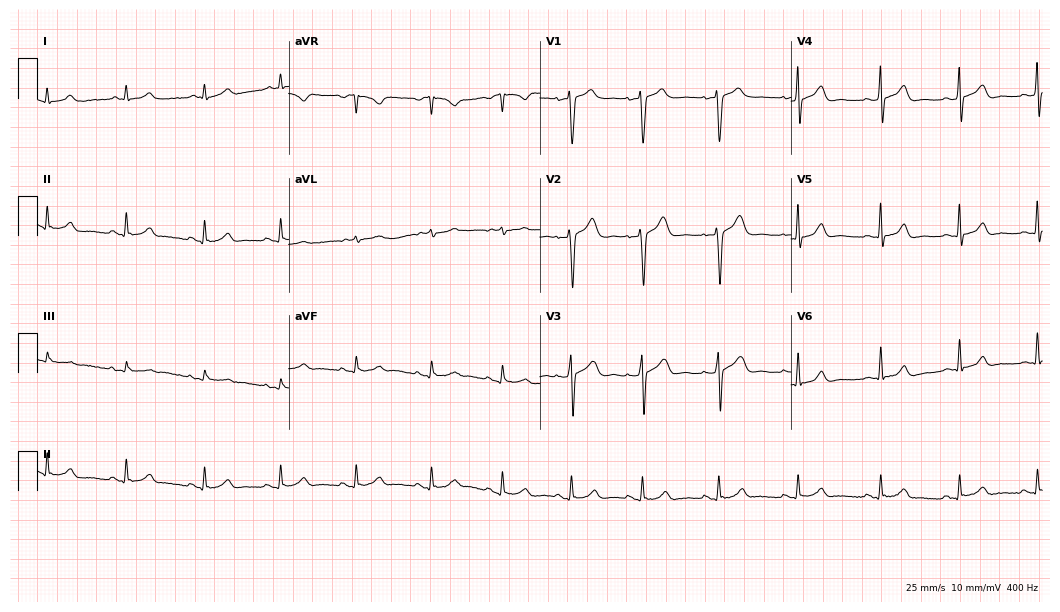
Electrocardiogram (10.2-second recording at 400 Hz), a male, 44 years old. Of the six screened findings (first-degree AV block, right bundle branch block (RBBB), left bundle branch block (LBBB), sinus bradycardia, atrial fibrillation (AF), sinus tachycardia), none is recorded. Findings outside these six are not listed.